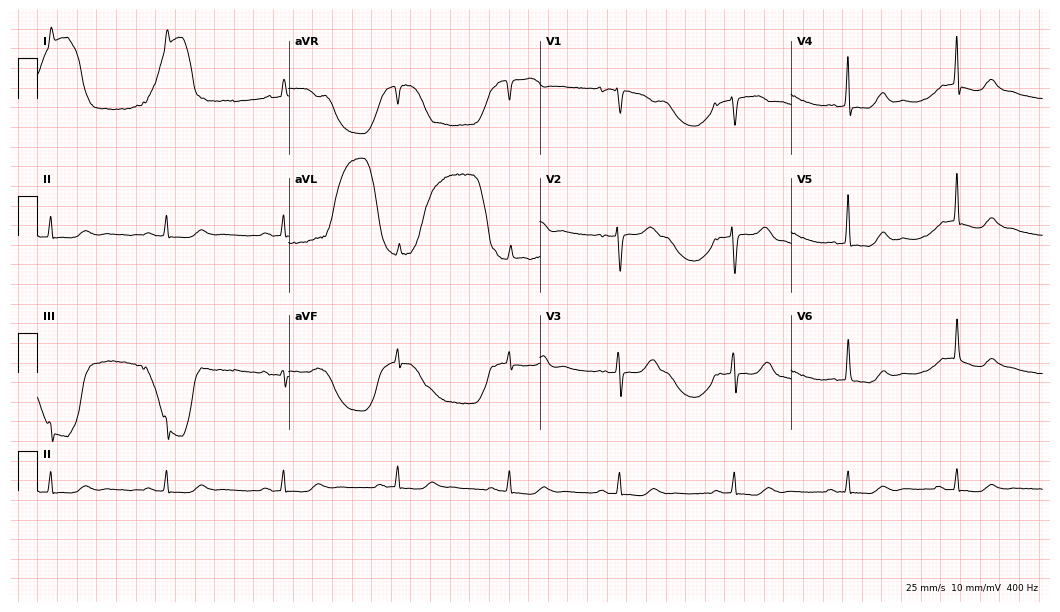
Electrocardiogram, a woman, 79 years old. Overall reading on record: normal ECG.